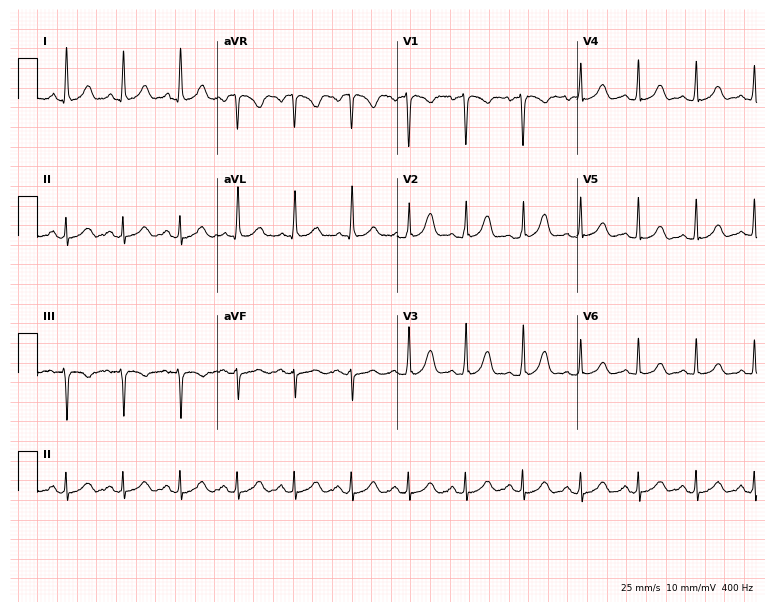
12-lead ECG from a female, 48 years old (7.3-second recording at 400 Hz). Shows sinus tachycardia (a sinus rate of 100 beats per minute or more).